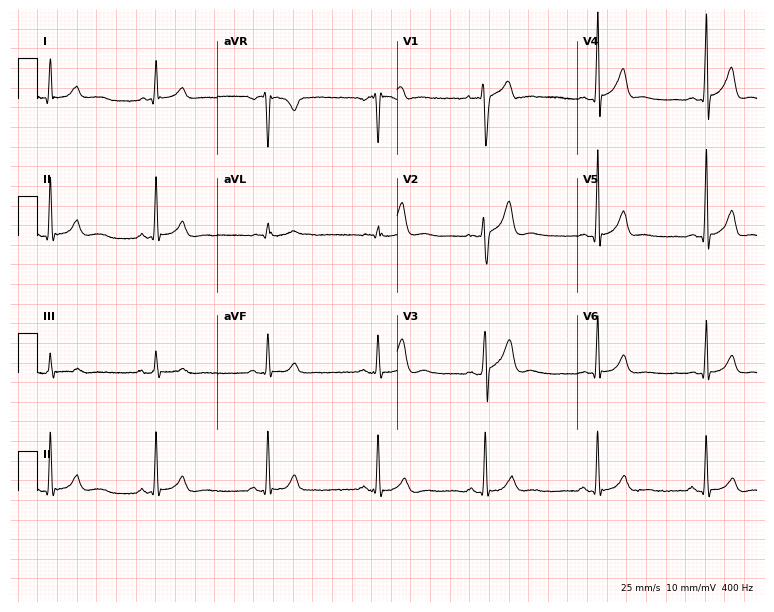
Electrocardiogram (7.3-second recording at 400 Hz), a male patient, 25 years old. Overall reading on record: normal ECG.